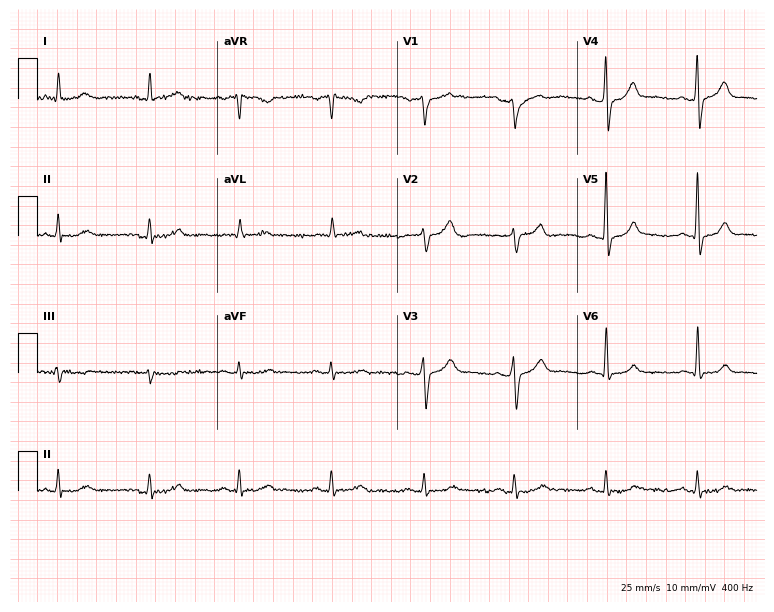
Electrocardiogram, a male patient, 59 years old. Overall reading on record: normal ECG.